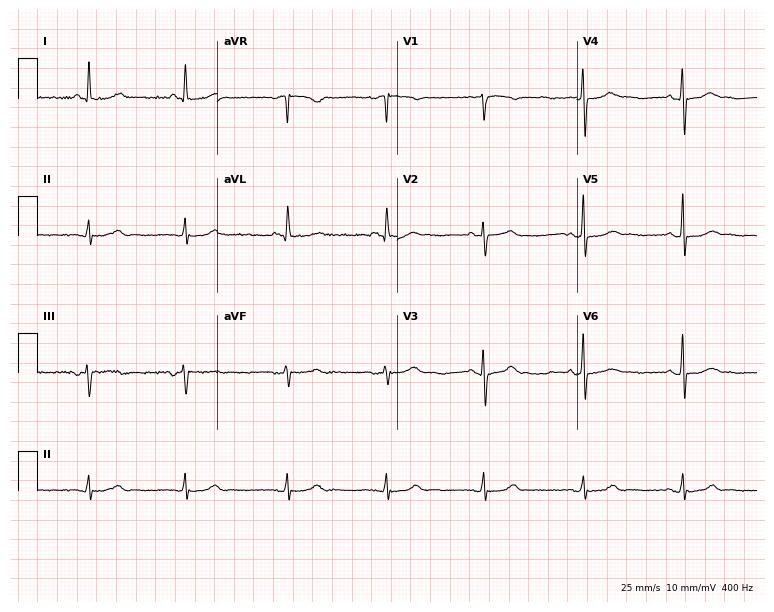
Electrocardiogram, a 48-year-old man. Overall reading on record: normal ECG.